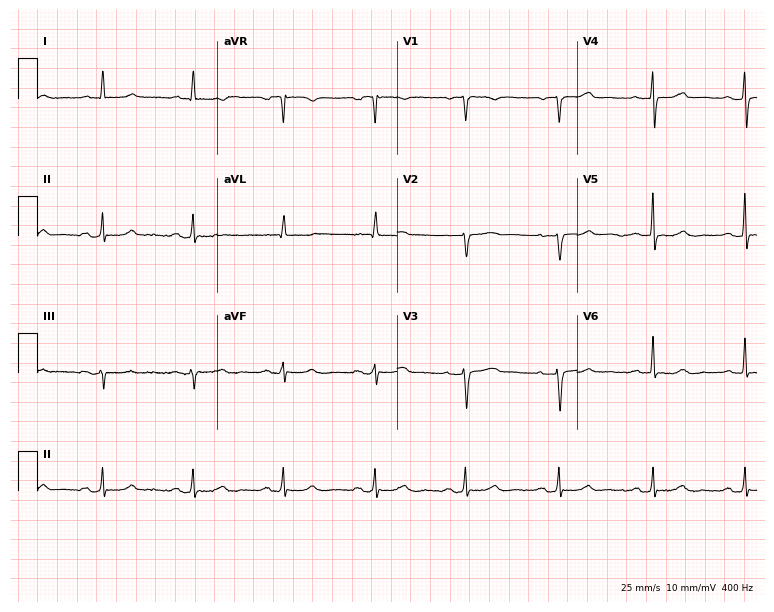
Resting 12-lead electrocardiogram. Patient: a female, 61 years old. None of these six findings is recorded: first-degree AV block, right bundle branch block, left bundle branch block, sinus bradycardia, atrial fibrillation, sinus tachycardia. Only these six findings were labelled.